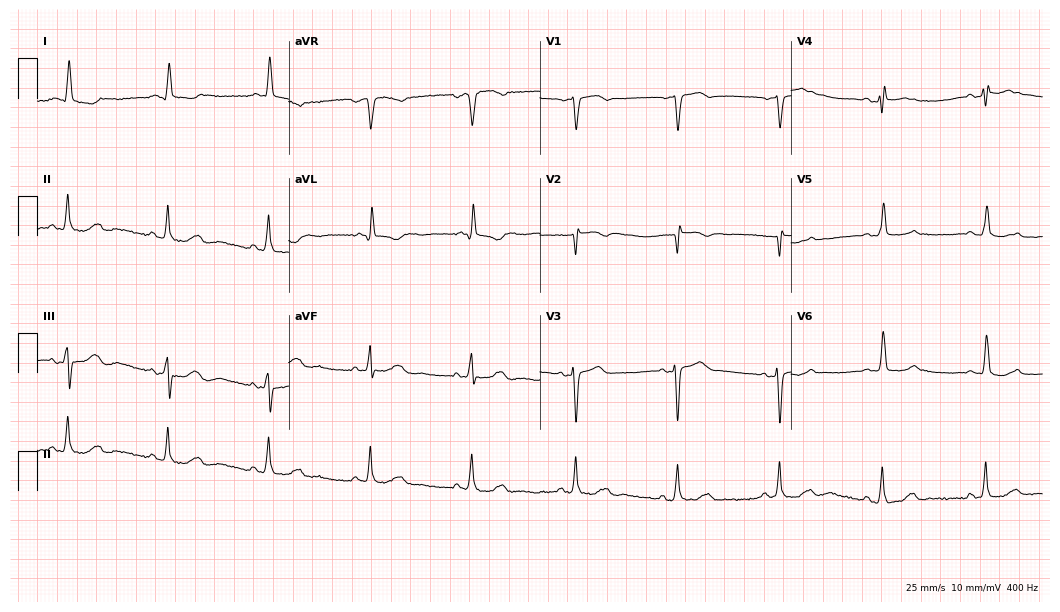
Standard 12-lead ECG recorded from a female, 82 years old (10.2-second recording at 400 Hz). None of these six findings is recorded: first-degree AV block, right bundle branch block, left bundle branch block, sinus bradycardia, atrial fibrillation, sinus tachycardia. Findings outside these six are not listed.